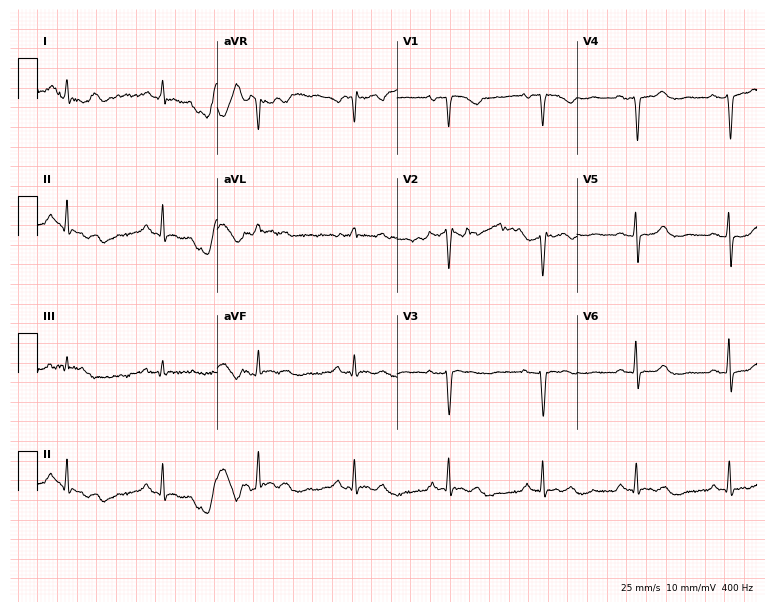
Standard 12-lead ECG recorded from a 66-year-old male patient (7.3-second recording at 400 Hz). Read as a normal ECG.